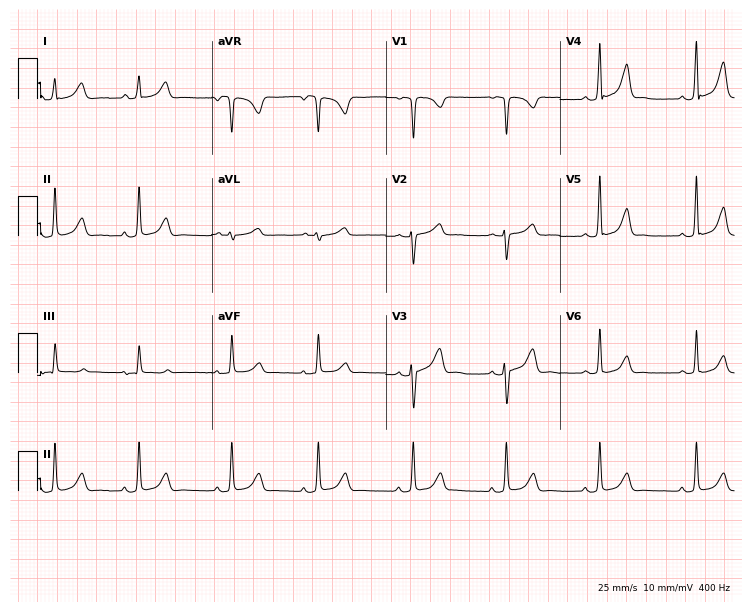
12-lead ECG from a 19-year-old woman. Recorded interpretation: within normal limits.